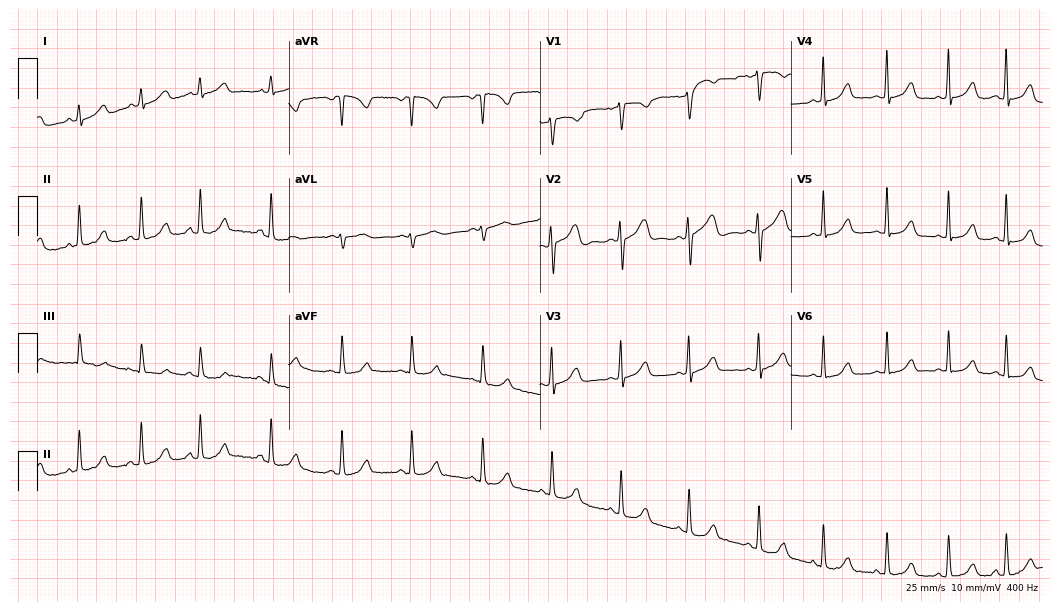
12-lead ECG (10.2-second recording at 400 Hz) from a woman, 18 years old. Screened for six findings — first-degree AV block, right bundle branch block, left bundle branch block, sinus bradycardia, atrial fibrillation, sinus tachycardia — none is recorded. Only these six findings were labelled.